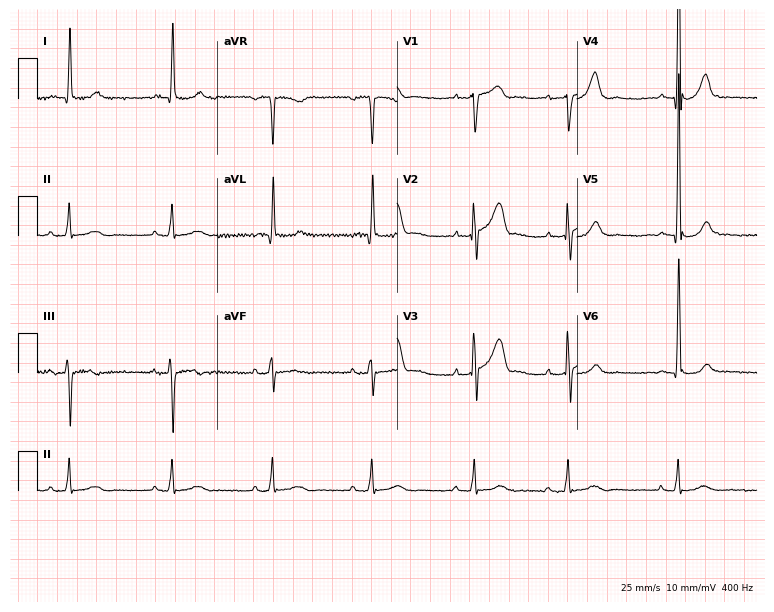
12-lead ECG from a male, 67 years old. Screened for six findings — first-degree AV block, right bundle branch block, left bundle branch block, sinus bradycardia, atrial fibrillation, sinus tachycardia — none is recorded. Only these six findings were labelled.